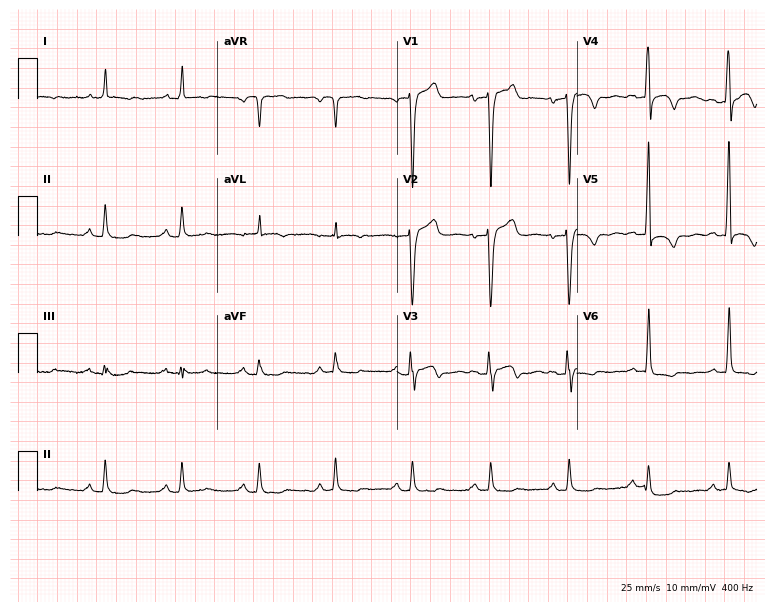
12-lead ECG from a 52-year-old male (7.3-second recording at 400 Hz). No first-degree AV block, right bundle branch block (RBBB), left bundle branch block (LBBB), sinus bradycardia, atrial fibrillation (AF) or sinus tachycardia recorded for this tracing. Other findings, if any, are not listed.